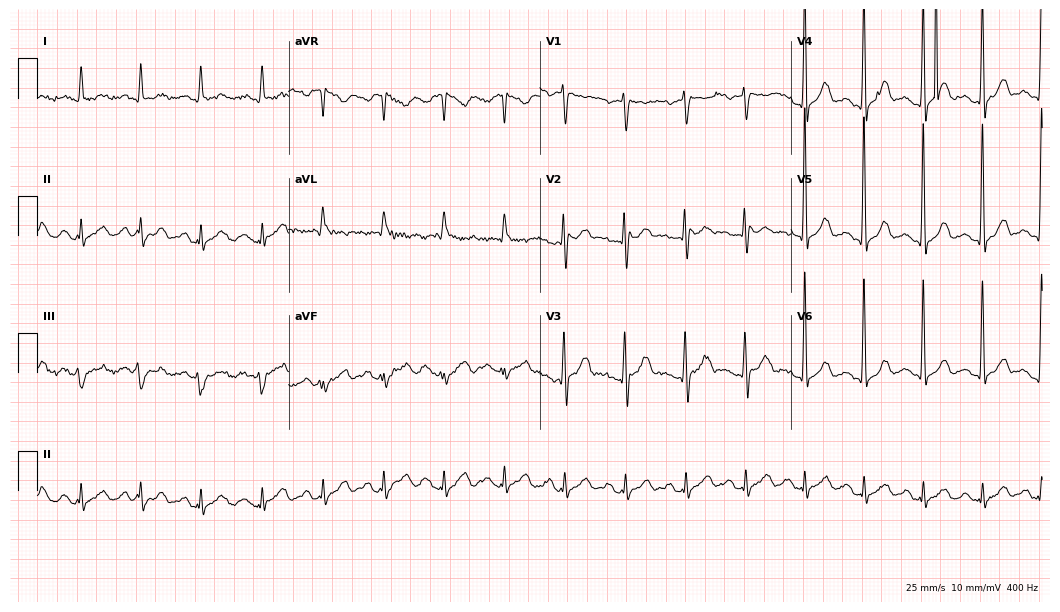
12-lead ECG from a 53-year-old male patient. Screened for six findings — first-degree AV block, right bundle branch block, left bundle branch block, sinus bradycardia, atrial fibrillation, sinus tachycardia — none is recorded. Findings outside these six are not listed.